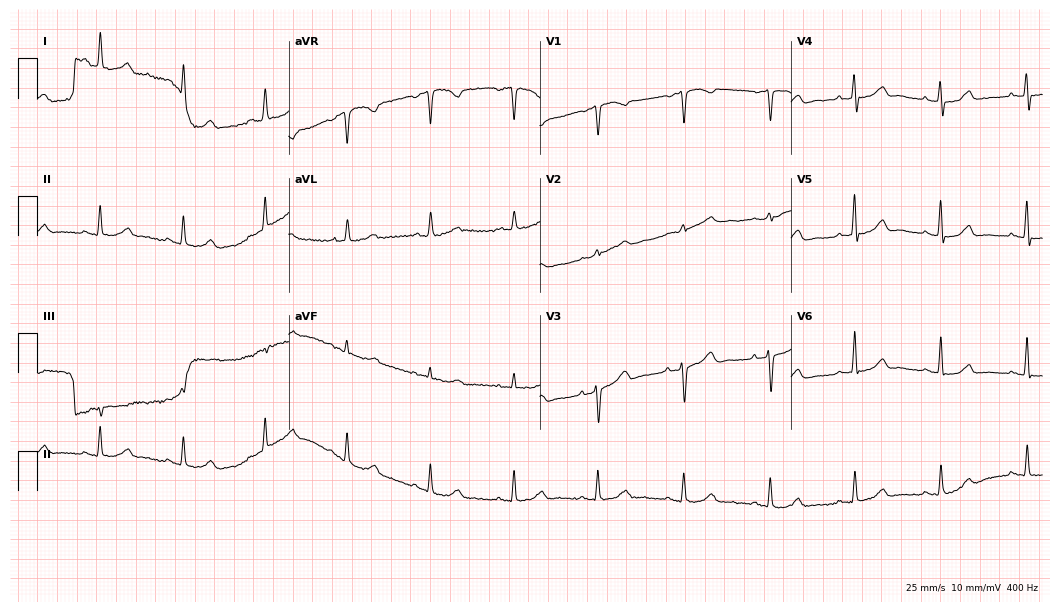
Electrocardiogram (10.2-second recording at 400 Hz), a female patient, 63 years old. Overall reading on record: normal ECG.